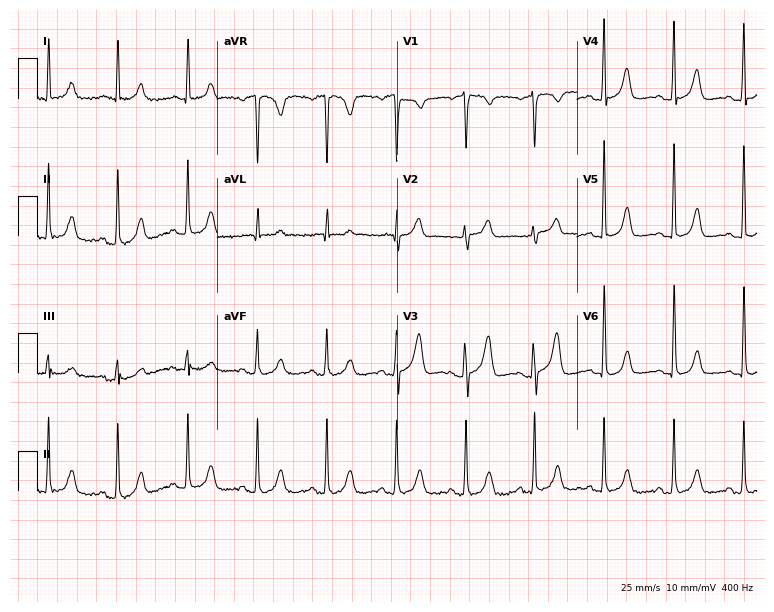
12-lead ECG from a 79-year-old female patient. No first-degree AV block, right bundle branch block, left bundle branch block, sinus bradycardia, atrial fibrillation or sinus tachycardia recorded for this tracing. Other findings, if any, are not listed.